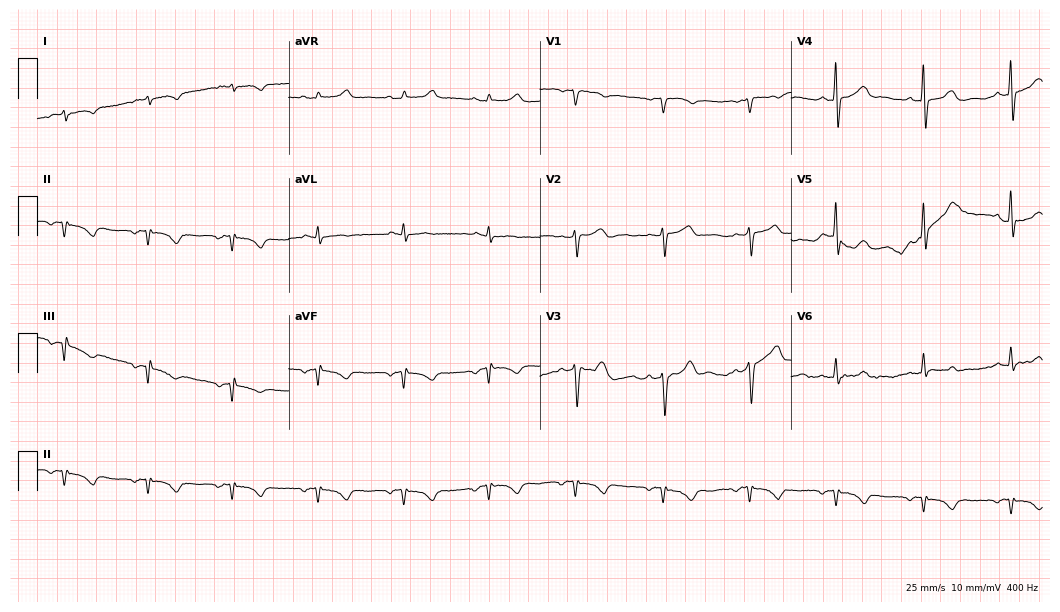
Electrocardiogram, a 64-year-old male patient. Of the six screened findings (first-degree AV block, right bundle branch block, left bundle branch block, sinus bradycardia, atrial fibrillation, sinus tachycardia), none is recorded. Findings outside these six are not listed.